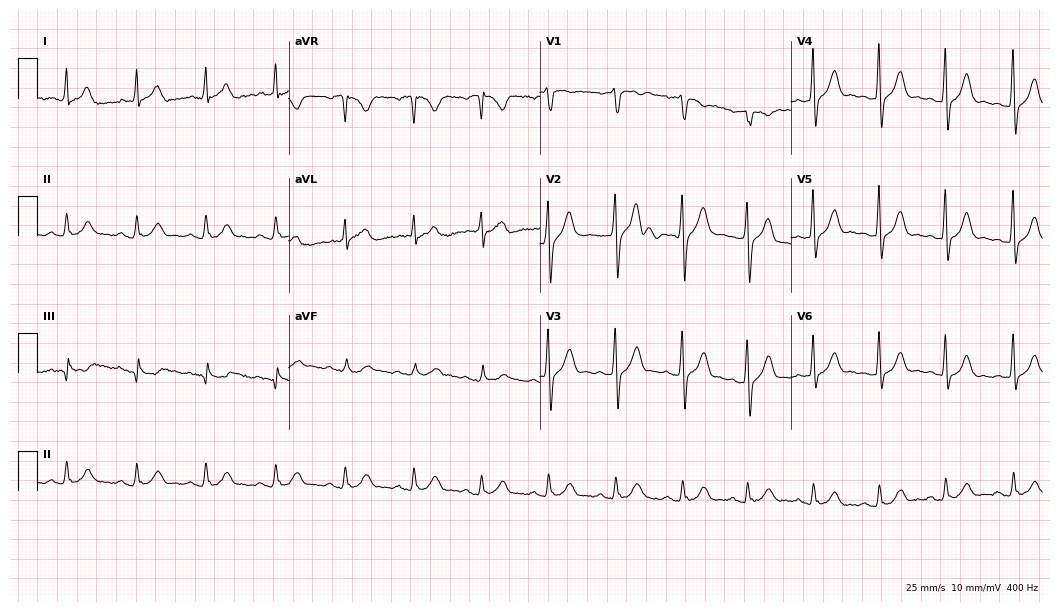
Resting 12-lead electrocardiogram. Patient: a man, 44 years old. Read as a normal ECG.